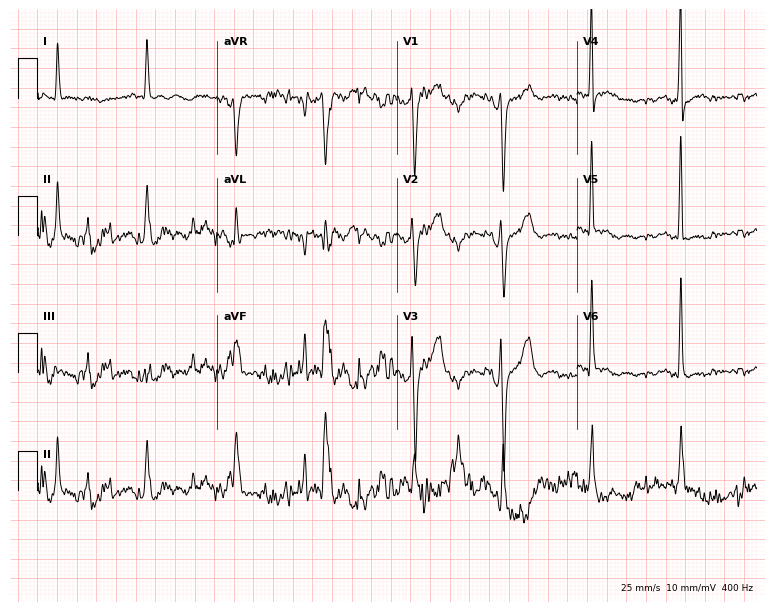
ECG (7.3-second recording at 400 Hz) — a man, 56 years old. Screened for six findings — first-degree AV block, right bundle branch block, left bundle branch block, sinus bradycardia, atrial fibrillation, sinus tachycardia — none is recorded.